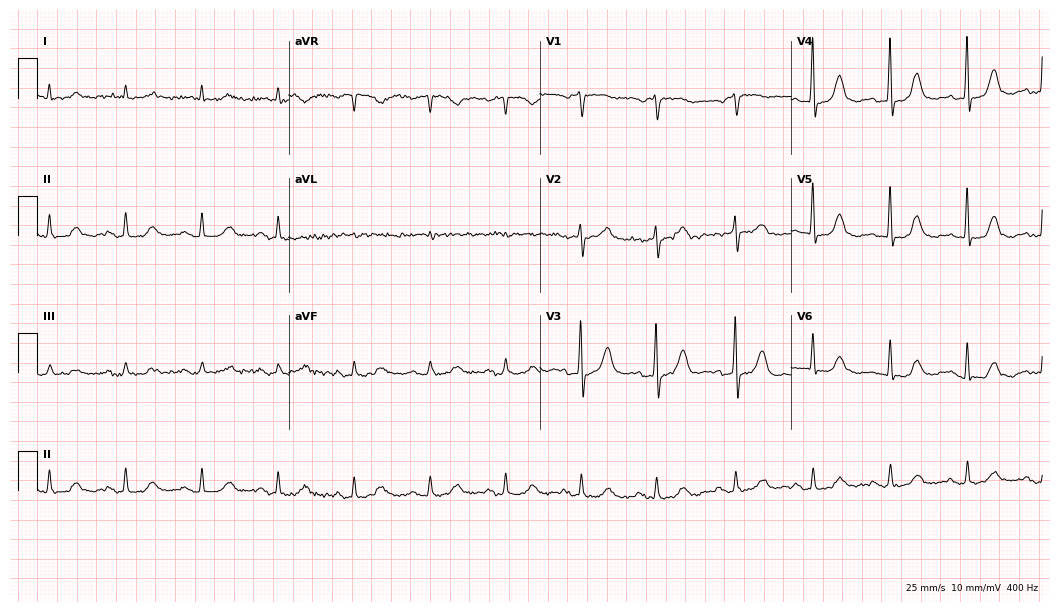
Electrocardiogram (10.2-second recording at 400 Hz), a male patient, 83 years old. Overall reading on record: normal ECG.